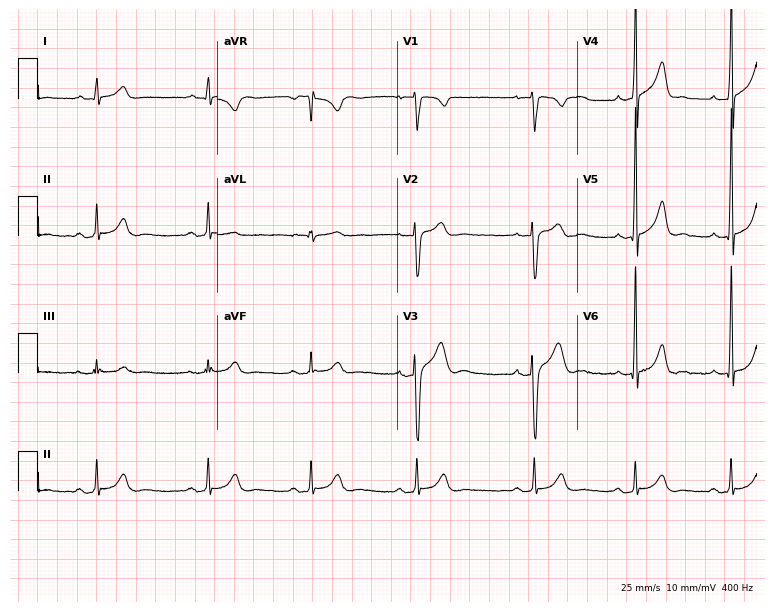
12-lead ECG from a male, 17 years old. Labelled as a normal ECG.